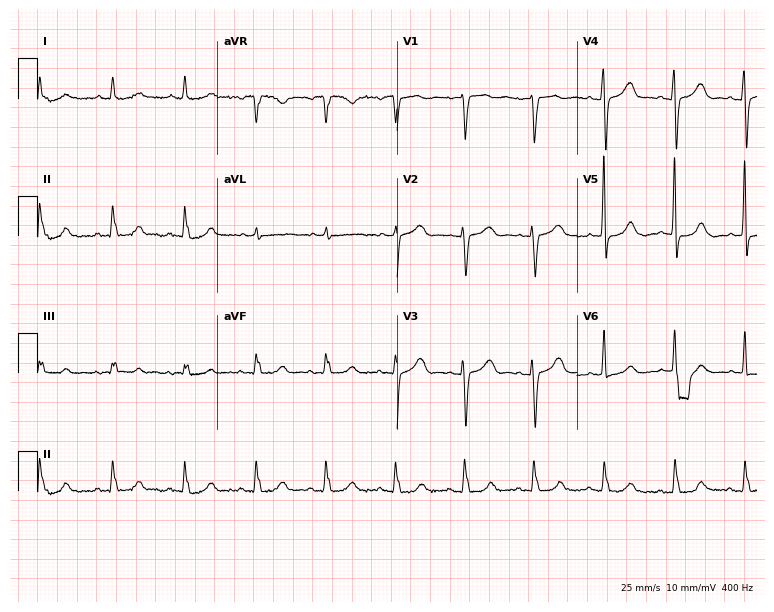
Standard 12-lead ECG recorded from a female patient, 85 years old (7.3-second recording at 400 Hz). None of these six findings is recorded: first-degree AV block, right bundle branch block (RBBB), left bundle branch block (LBBB), sinus bradycardia, atrial fibrillation (AF), sinus tachycardia.